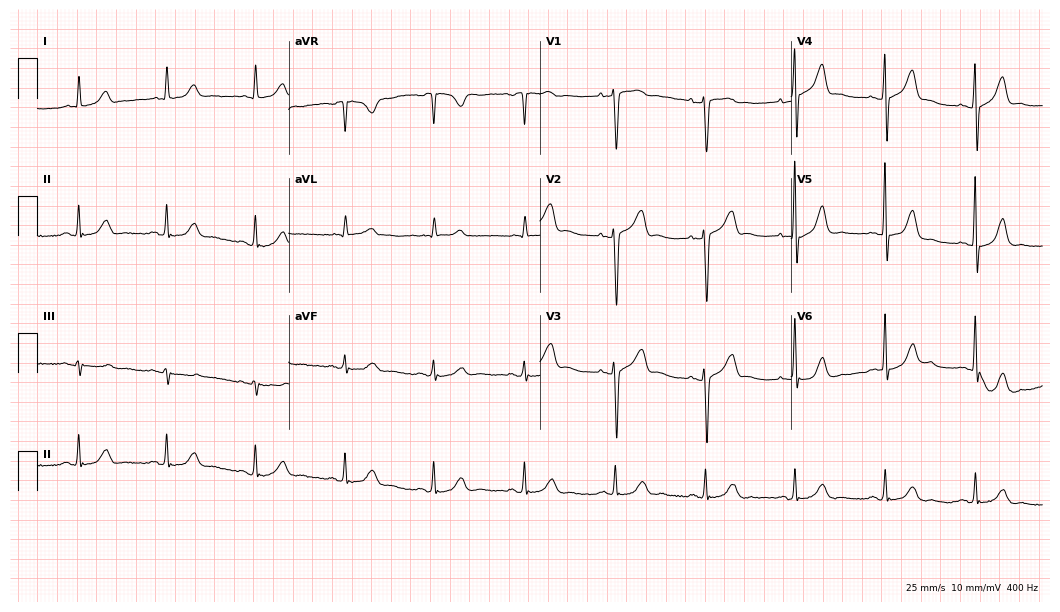
Electrocardiogram, a male patient, 72 years old. Of the six screened findings (first-degree AV block, right bundle branch block (RBBB), left bundle branch block (LBBB), sinus bradycardia, atrial fibrillation (AF), sinus tachycardia), none is recorded. Findings outside these six are not listed.